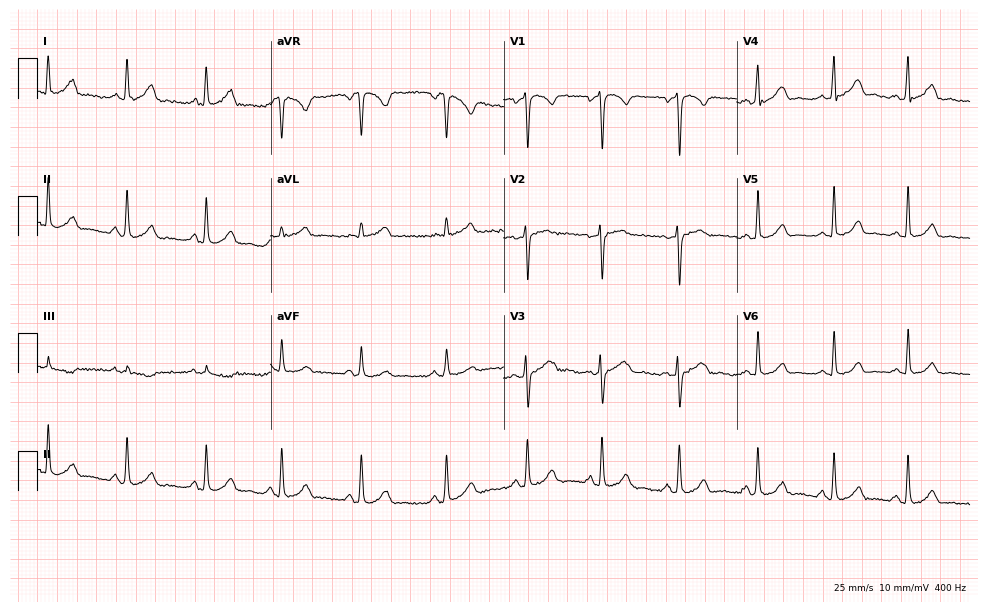
Standard 12-lead ECG recorded from a female patient, 38 years old (9.5-second recording at 400 Hz). Read as a normal ECG.